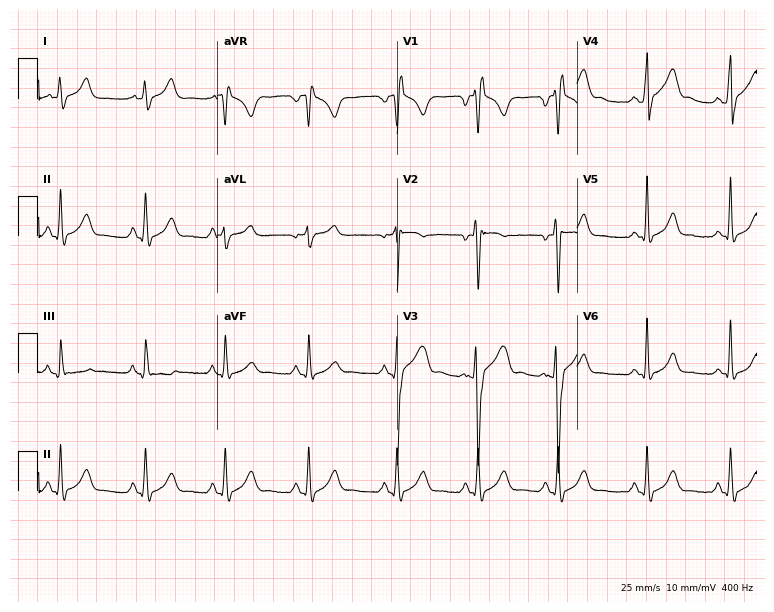
Standard 12-lead ECG recorded from a man, 18 years old. None of these six findings is recorded: first-degree AV block, right bundle branch block, left bundle branch block, sinus bradycardia, atrial fibrillation, sinus tachycardia.